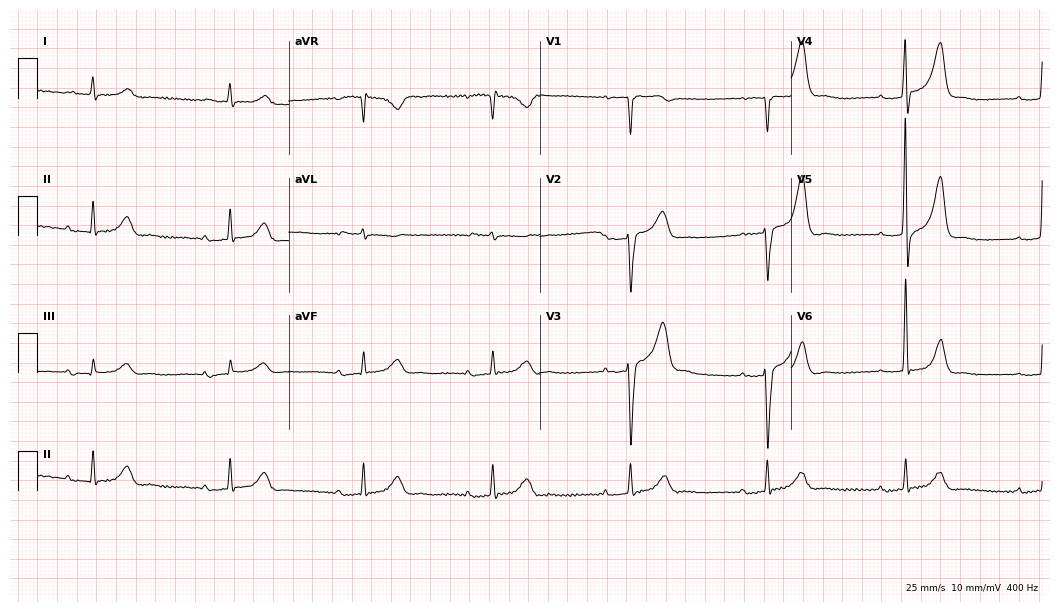
12-lead ECG from a male patient, 84 years old. Screened for six findings — first-degree AV block, right bundle branch block, left bundle branch block, sinus bradycardia, atrial fibrillation, sinus tachycardia — none is recorded. Only these six findings were labelled.